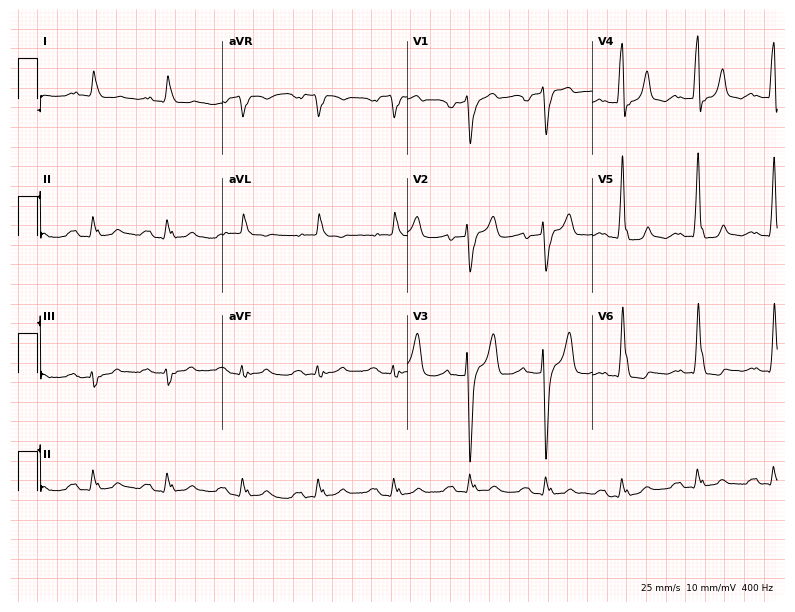
12-lead ECG (7.5-second recording at 400 Hz) from a male patient, 67 years old. Findings include first-degree AV block, left bundle branch block.